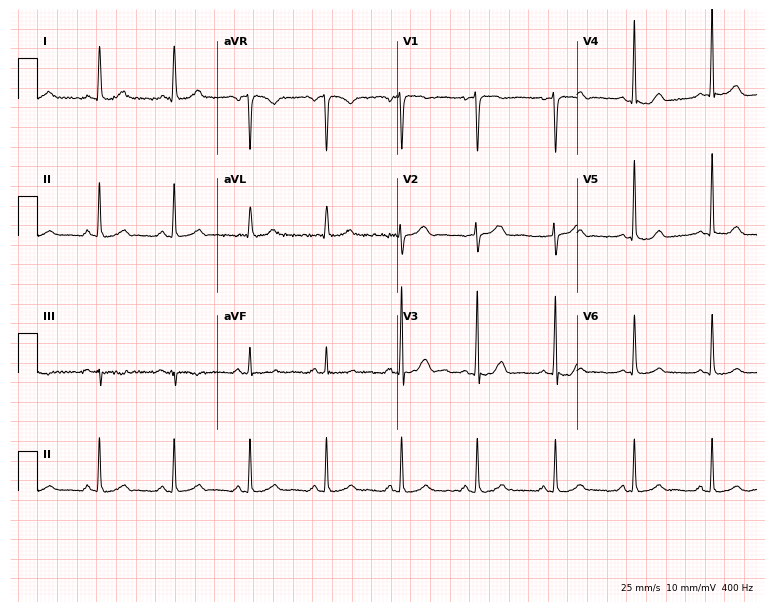
Resting 12-lead electrocardiogram. Patient: a woman, 47 years old. Read as a normal ECG.